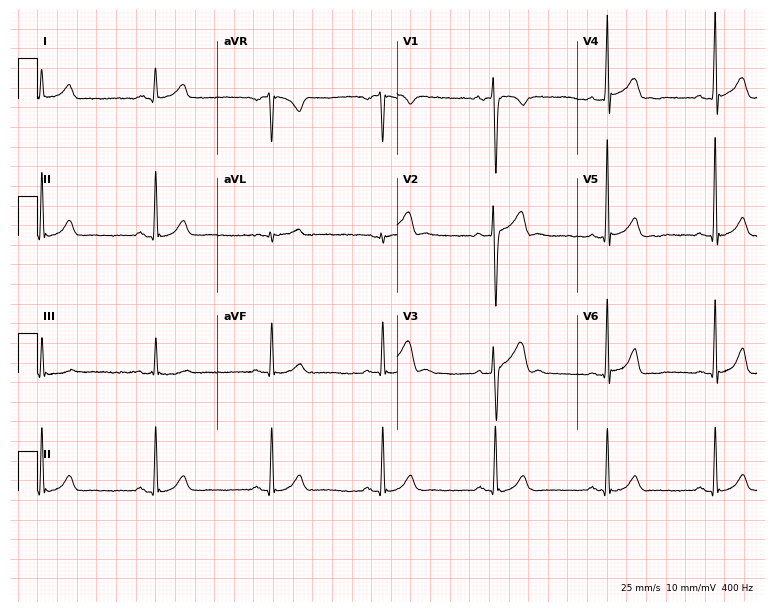
Resting 12-lead electrocardiogram. Patient: a 32-year-old male. Read as a normal ECG.